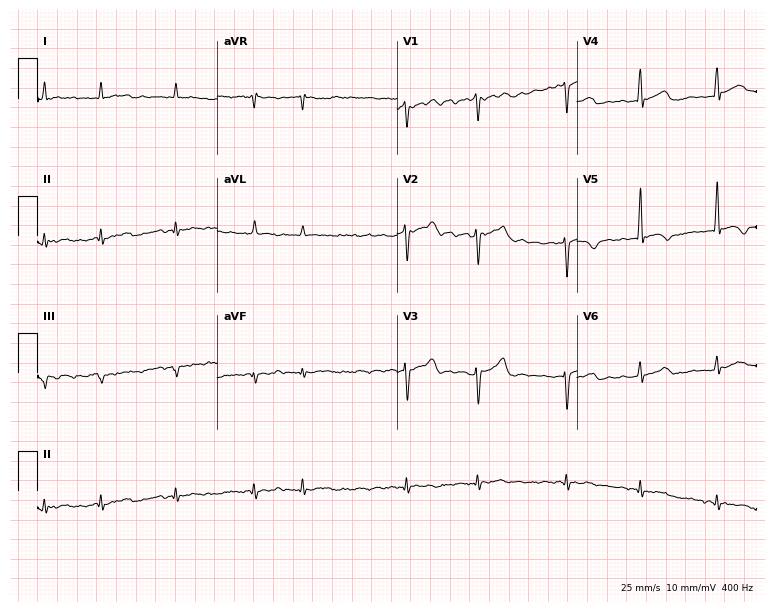
Standard 12-lead ECG recorded from a 74-year-old man (7.3-second recording at 400 Hz). The tracing shows atrial fibrillation.